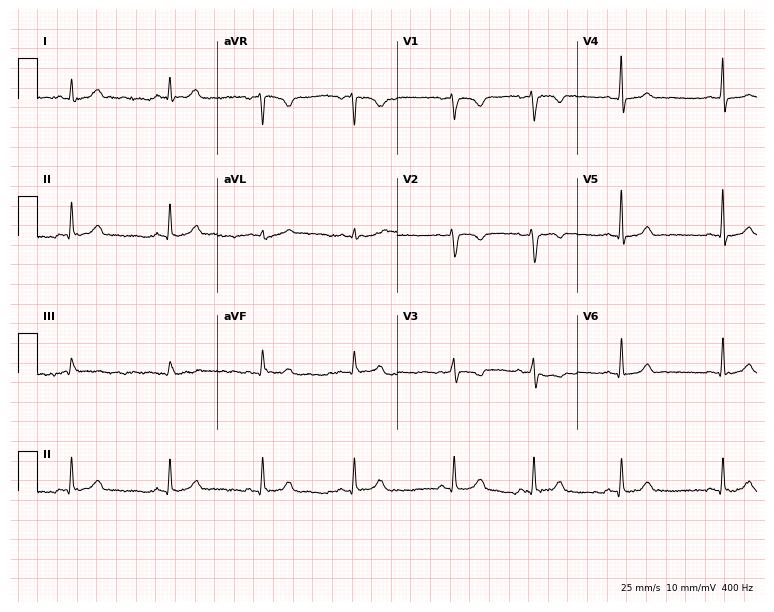
ECG — a 27-year-old female patient. Screened for six findings — first-degree AV block, right bundle branch block, left bundle branch block, sinus bradycardia, atrial fibrillation, sinus tachycardia — none is recorded. Other findings, if any, are not listed.